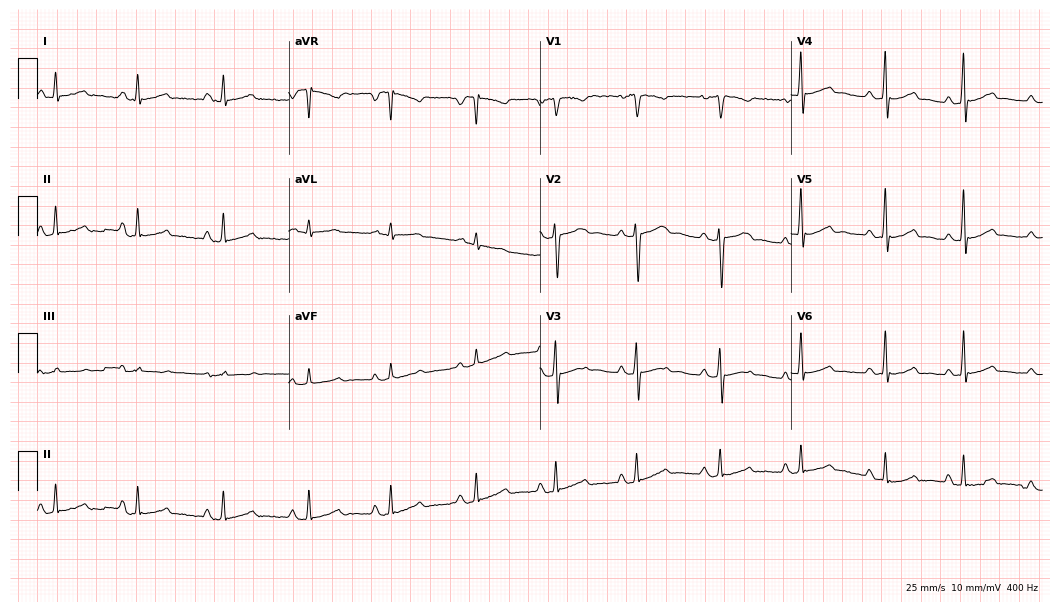
12-lead ECG from a 34-year-old female patient. Labelled as a normal ECG.